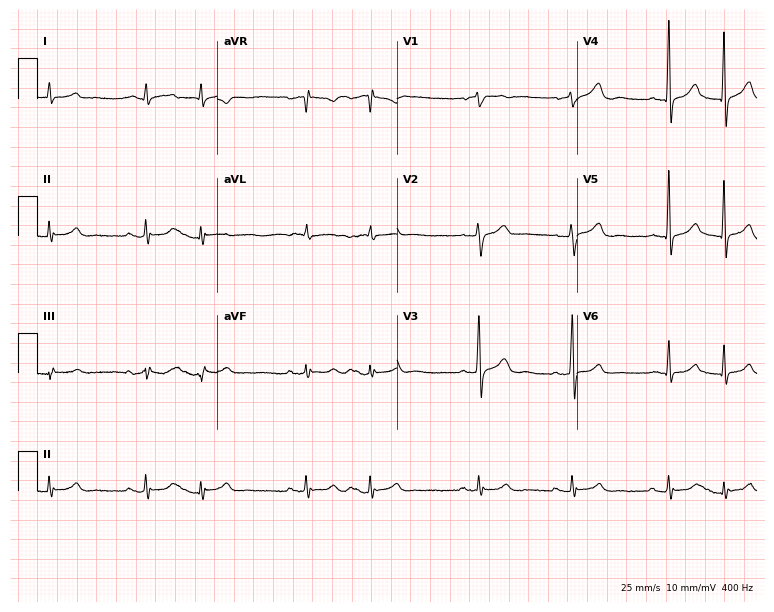
12-lead ECG from a 74-year-old man. Screened for six findings — first-degree AV block, right bundle branch block, left bundle branch block, sinus bradycardia, atrial fibrillation, sinus tachycardia — none is recorded. Other findings, if any, are not listed.